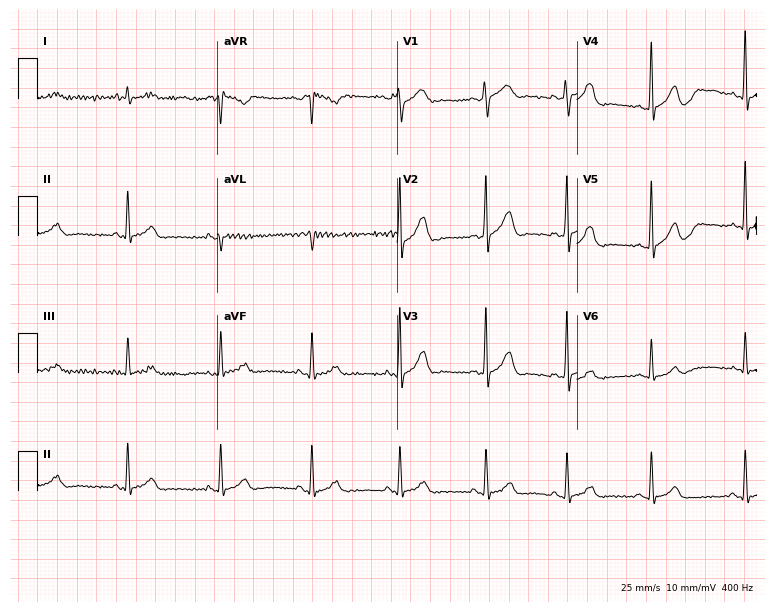
Standard 12-lead ECG recorded from a 42-year-old male patient (7.3-second recording at 400 Hz). None of these six findings is recorded: first-degree AV block, right bundle branch block, left bundle branch block, sinus bradycardia, atrial fibrillation, sinus tachycardia.